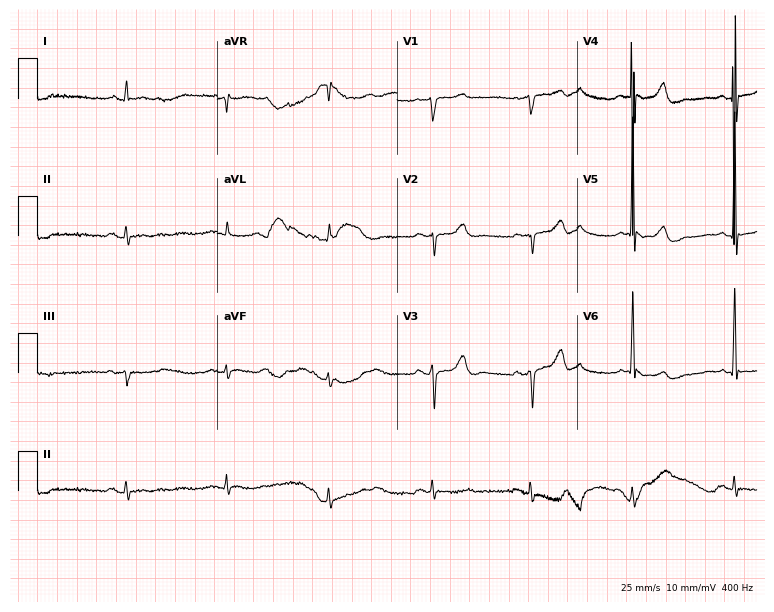
Standard 12-lead ECG recorded from a male patient, 84 years old. None of these six findings is recorded: first-degree AV block, right bundle branch block, left bundle branch block, sinus bradycardia, atrial fibrillation, sinus tachycardia. Other findings, if any, are not listed.